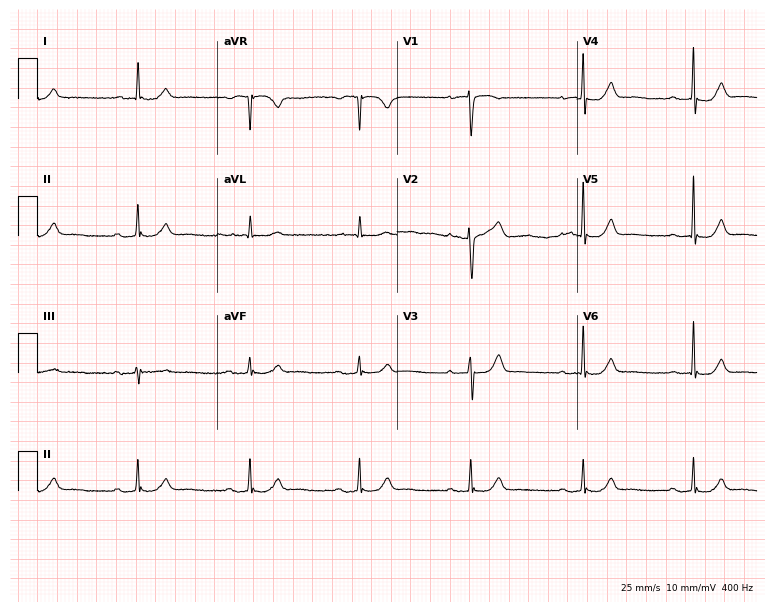
12-lead ECG from an 85-year-old woman. Labelled as a normal ECG.